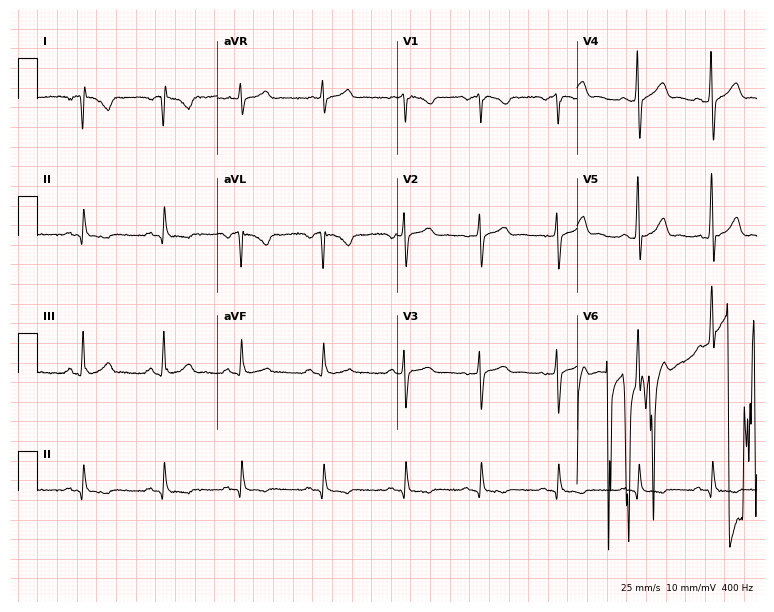
Electrocardiogram (7.3-second recording at 400 Hz), a woman, 29 years old. Of the six screened findings (first-degree AV block, right bundle branch block, left bundle branch block, sinus bradycardia, atrial fibrillation, sinus tachycardia), none is recorded. Only these six findings were labelled.